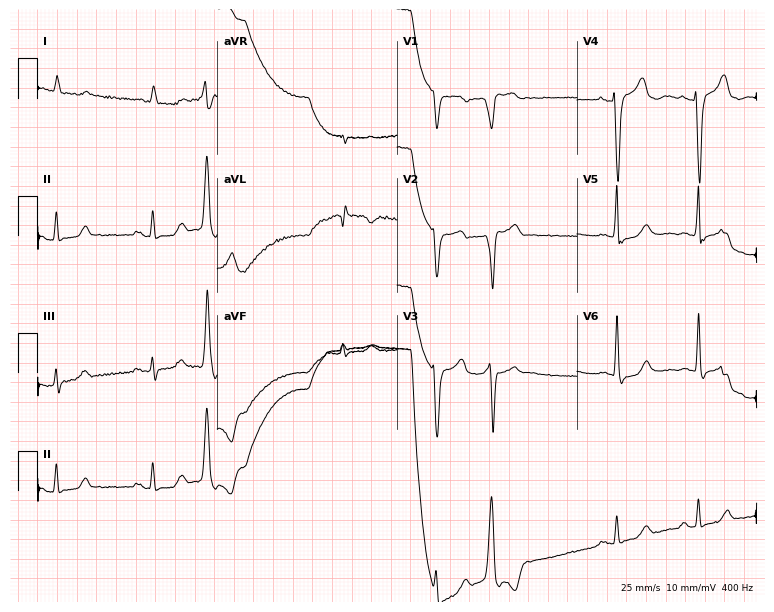
Electrocardiogram, an 83-year-old male. Of the six screened findings (first-degree AV block, right bundle branch block, left bundle branch block, sinus bradycardia, atrial fibrillation, sinus tachycardia), none is recorded.